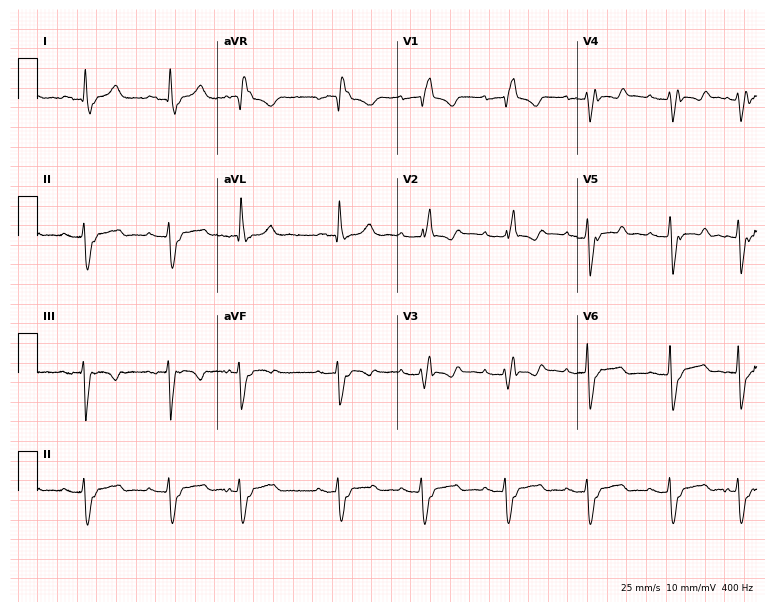
12-lead ECG from a 75-year-old woman. Findings include right bundle branch block.